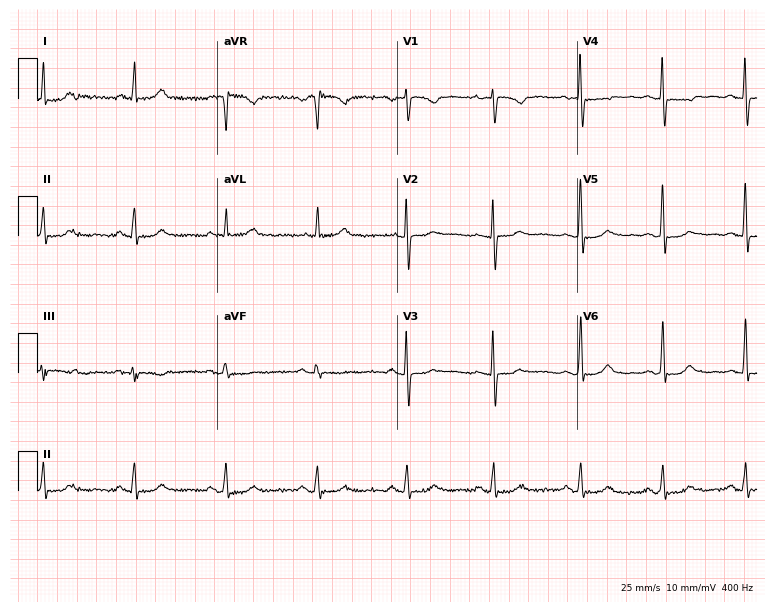
12-lead ECG (7.3-second recording at 400 Hz) from a woman, 75 years old. Labelled as a normal ECG.